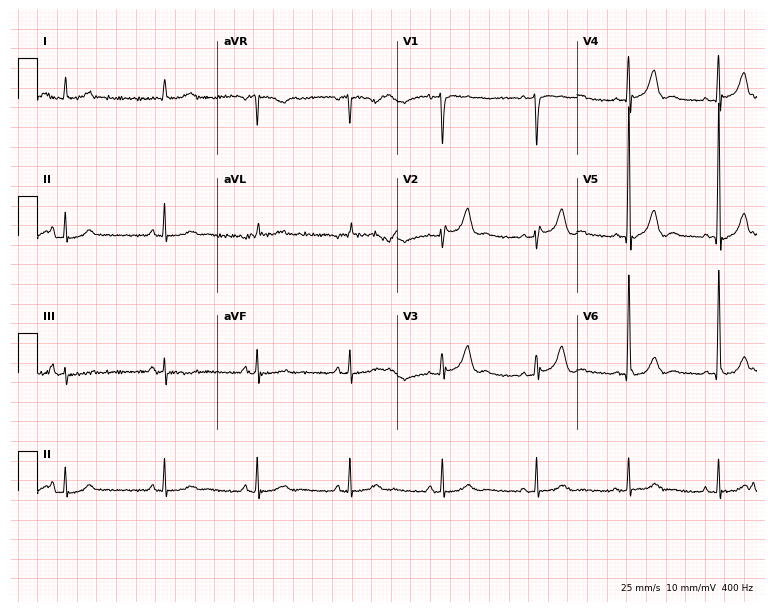
Standard 12-lead ECG recorded from a female, 75 years old (7.3-second recording at 400 Hz). None of these six findings is recorded: first-degree AV block, right bundle branch block, left bundle branch block, sinus bradycardia, atrial fibrillation, sinus tachycardia. Other findings, if any, are not listed.